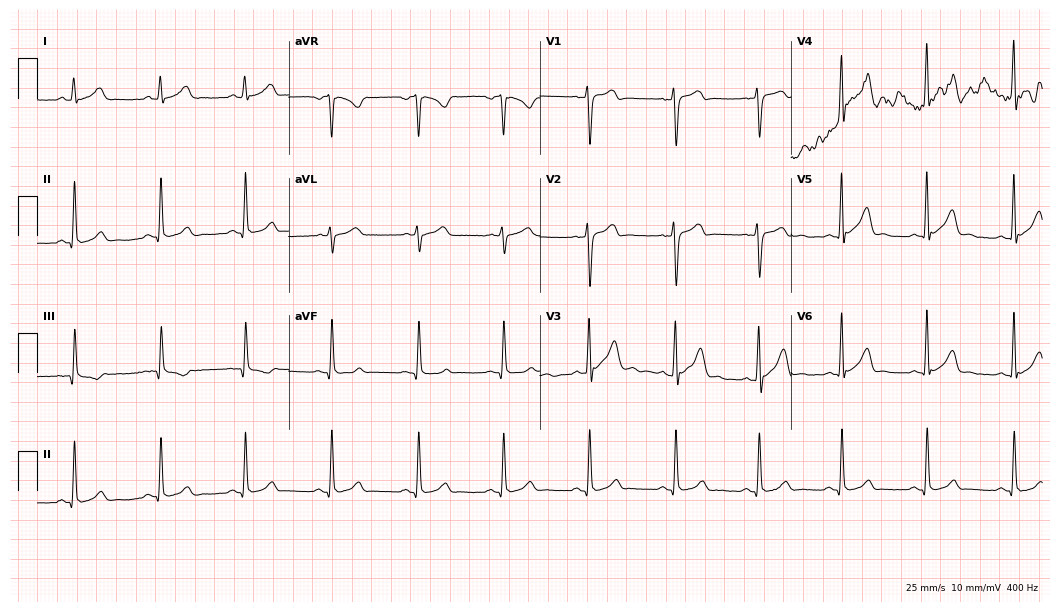
12-lead ECG from a male patient, 29 years old. Labelled as a normal ECG.